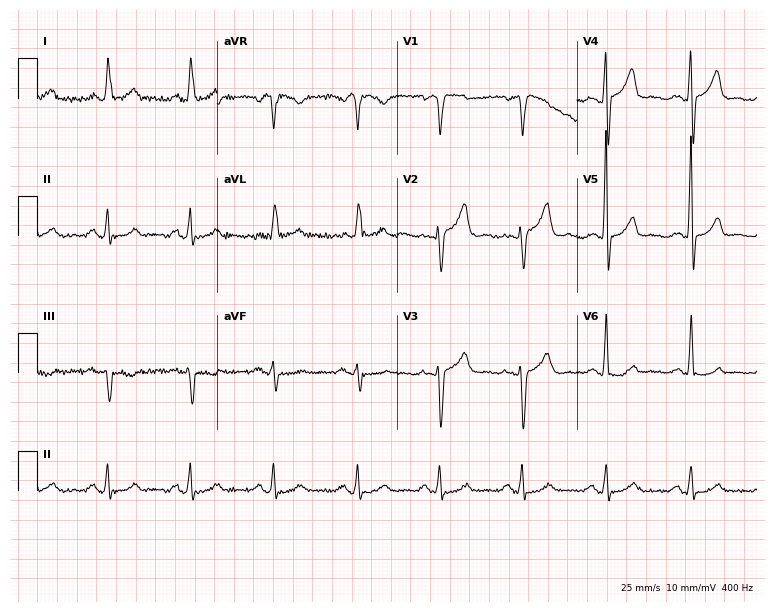
Standard 12-lead ECG recorded from a female patient, 59 years old. None of these six findings is recorded: first-degree AV block, right bundle branch block (RBBB), left bundle branch block (LBBB), sinus bradycardia, atrial fibrillation (AF), sinus tachycardia. Only these six findings were labelled.